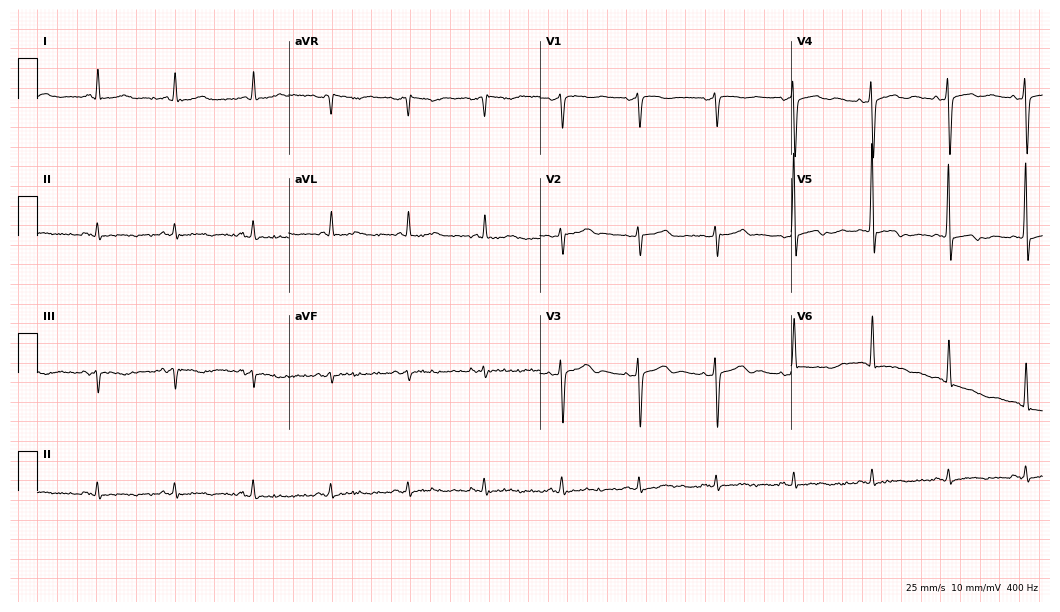
Resting 12-lead electrocardiogram. Patient: a 77-year-old female. None of these six findings is recorded: first-degree AV block, right bundle branch block, left bundle branch block, sinus bradycardia, atrial fibrillation, sinus tachycardia. Findings outside these six are not listed.